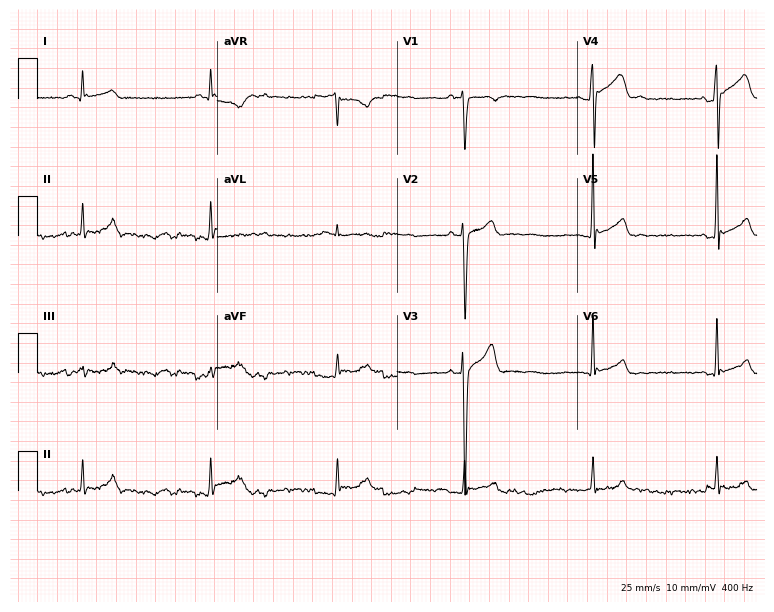
ECG (7.3-second recording at 400 Hz) — a male, 30 years old. Findings include sinus bradycardia (a sinus rate of 50 beats per minute or less).